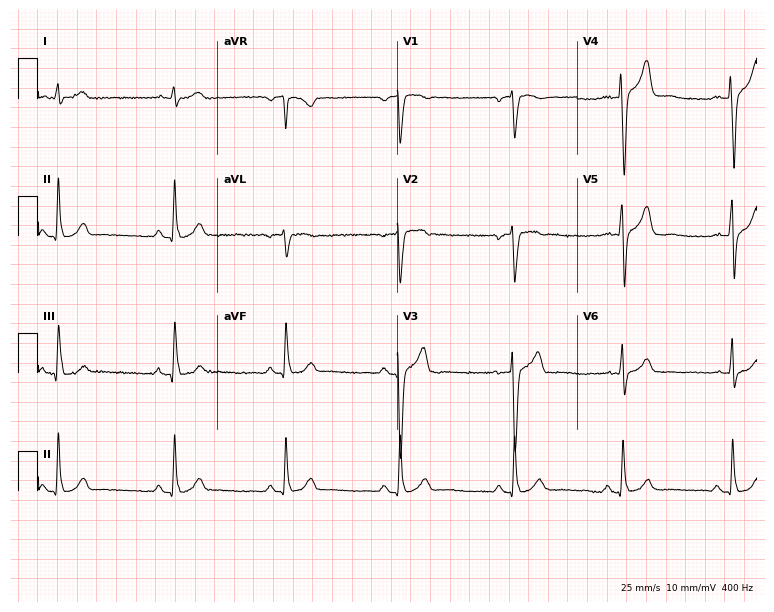
Electrocardiogram, a 54-year-old male patient. Overall reading on record: normal ECG.